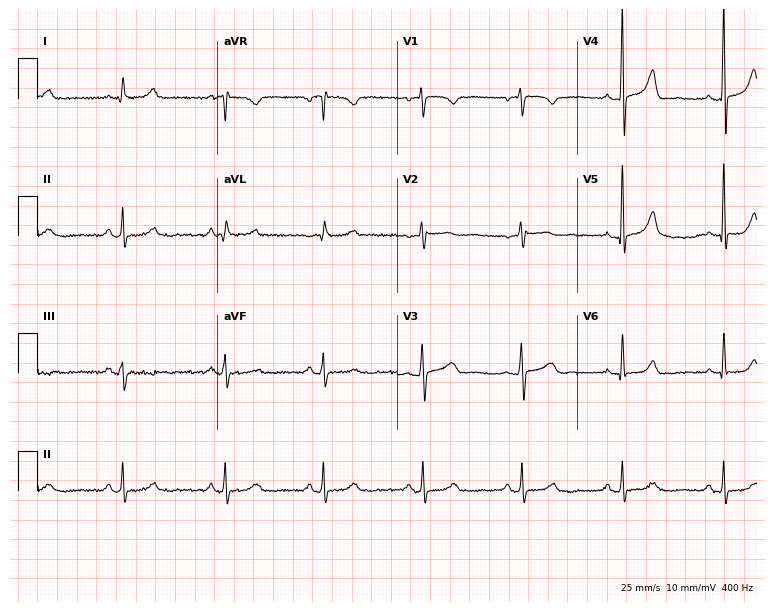
Resting 12-lead electrocardiogram (7.3-second recording at 400 Hz). Patient: a 60-year-old female. Read as a normal ECG.